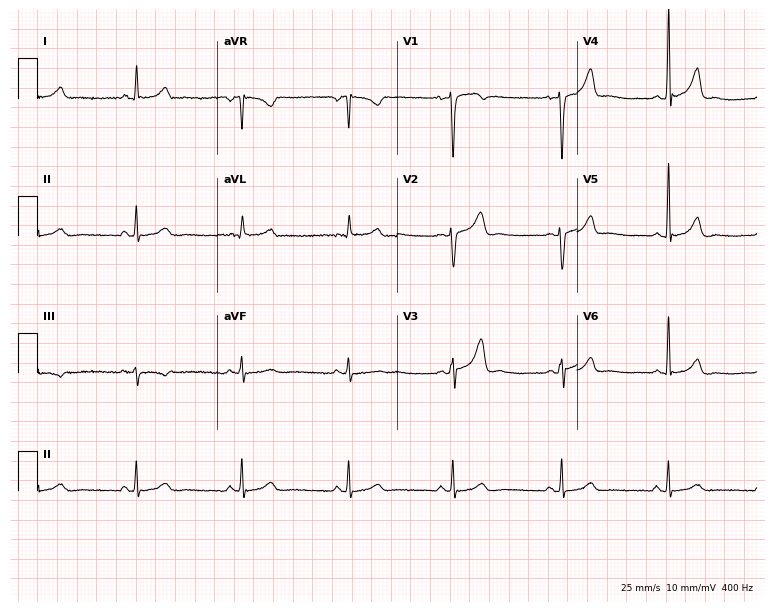
12-lead ECG from a female patient, 32 years old. No first-degree AV block, right bundle branch block, left bundle branch block, sinus bradycardia, atrial fibrillation or sinus tachycardia recorded for this tracing. Only these six findings were labelled.